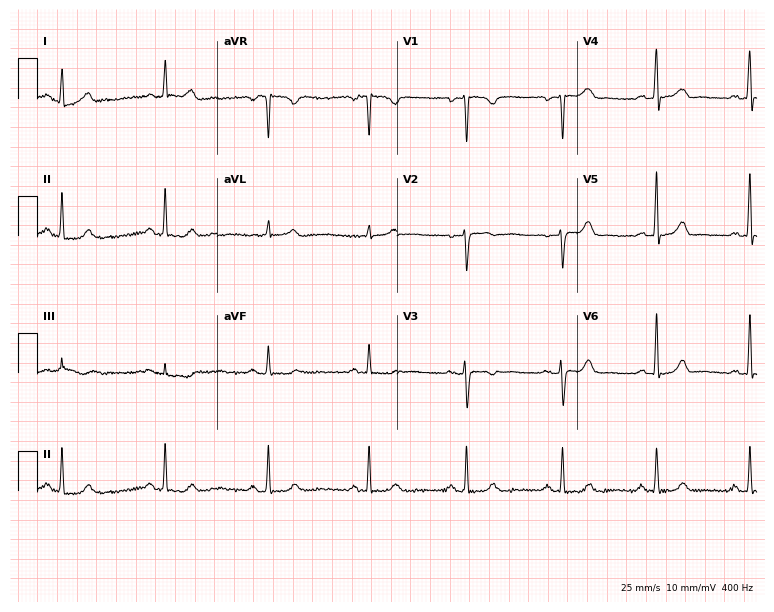
Resting 12-lead electrocardiogram. Patient: a 37-year-old female. Read as a normal ECG.